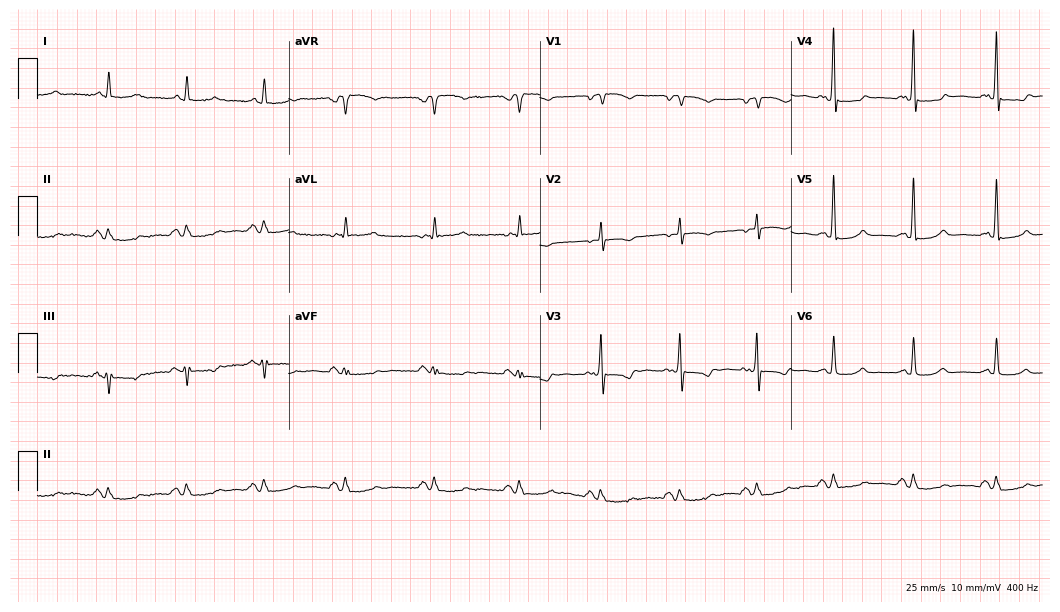
ECG (10.2-second recording at 400 Hz) — a man, 79 years old. Labelled as a normal ECG.